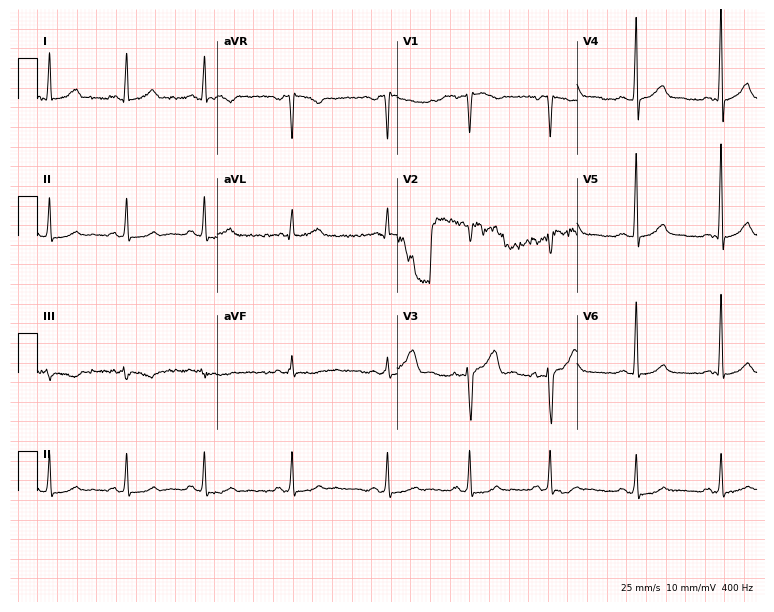
12-lead ECG from a 37-year-old male (7.3-second recording at 400 Hz). Recorded interpretation: within normal limits.